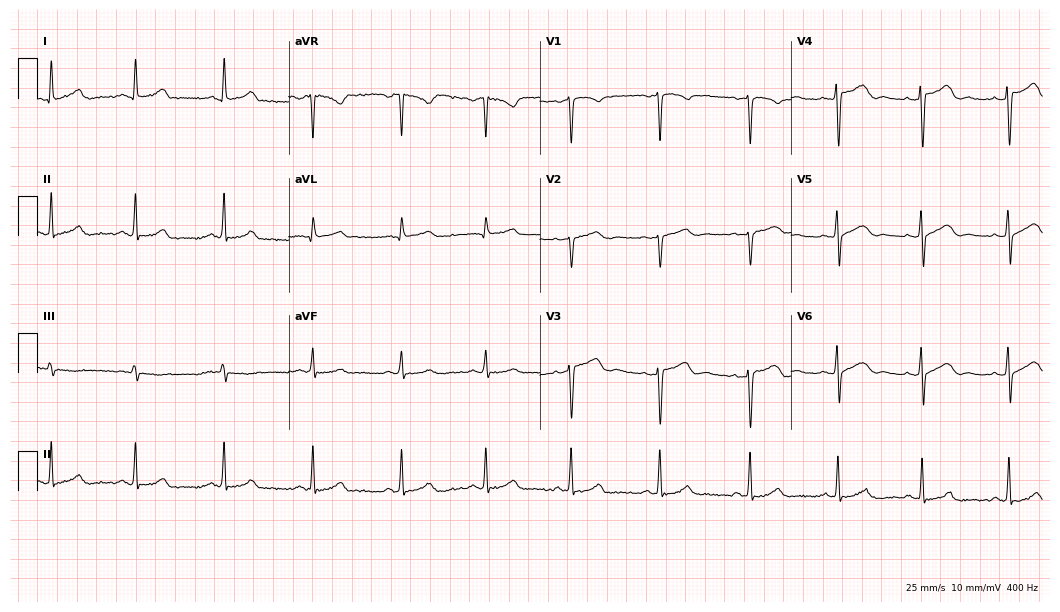
Resting 12-lead electrocardiogram (10.2-second recording at 400 Hz). Patient: a 27-year-old woman. None of these six findings is recorded: first-degree AV block, right bundle branch block (RBBB), left bundle branch block (LBBB), sinus bradycardia, atrial fibrillation (AF), sinus tachycardia.